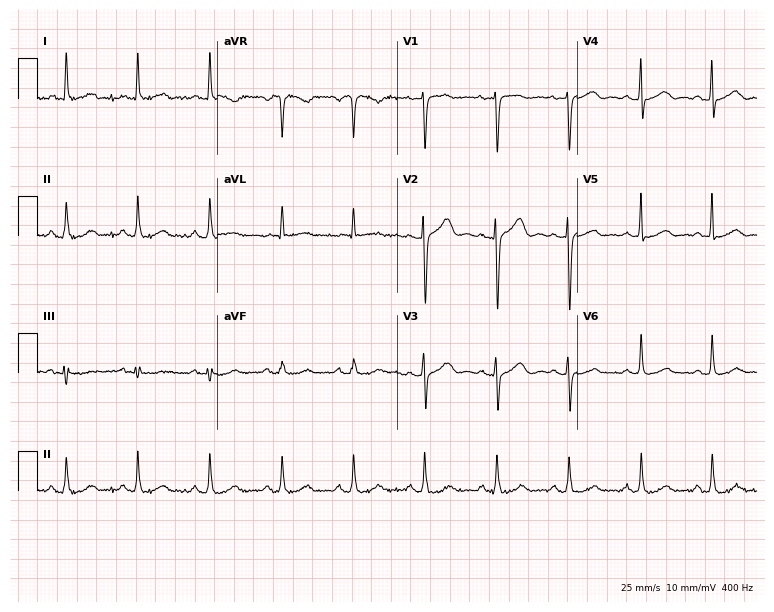
Electrocardiogram, a 67-year-old female. Overall reading on record: normal ECG.